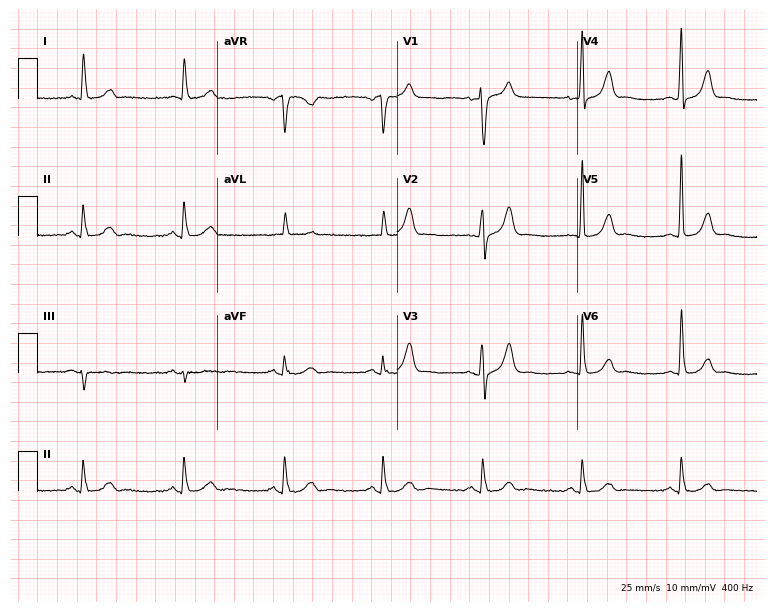
12-lead ECG from a 68-year-old man. Screened for six findings — first-degree AV block, right bundle branch block, left bundle branch block, sinus bradycardia, atrial fibrillation, sinus tachycardia — none is recorded.